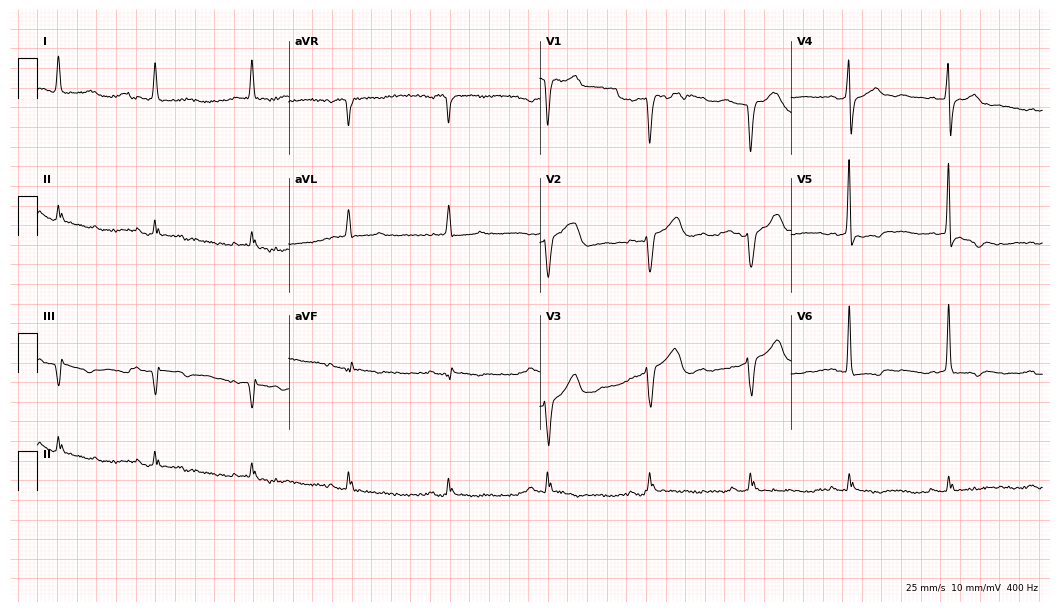
ECG — a male patient, 79 years old. Screened for six findings — first-degree AV block, right bundle branch block, left bundle branch block, sinus bradycardia, atrial fibrillation, sinus tachycardia — none is recorded. Findings outside these six are not listed.